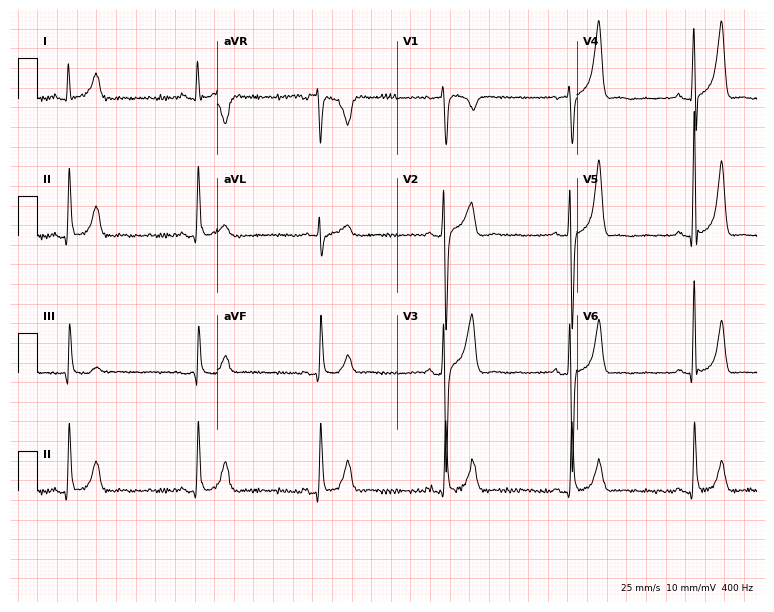
Resting 12-lead electrocardiogram. Patient: a 45-year-old man. The tracing shows sinus bradycardia (a sinus rate of 50 beats per minute or less).